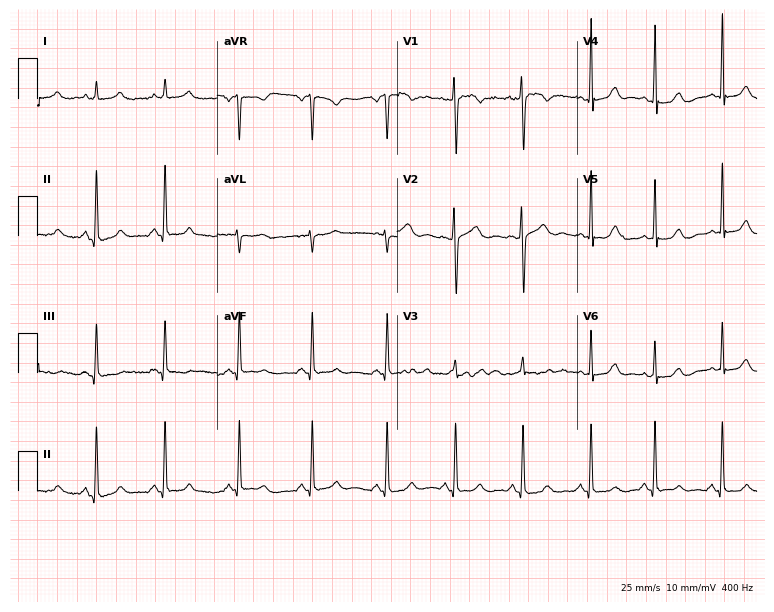
ECG (7.3-second recording at 400 Hz) — a female patient, 28 years old. Labelled as a normal ECG.